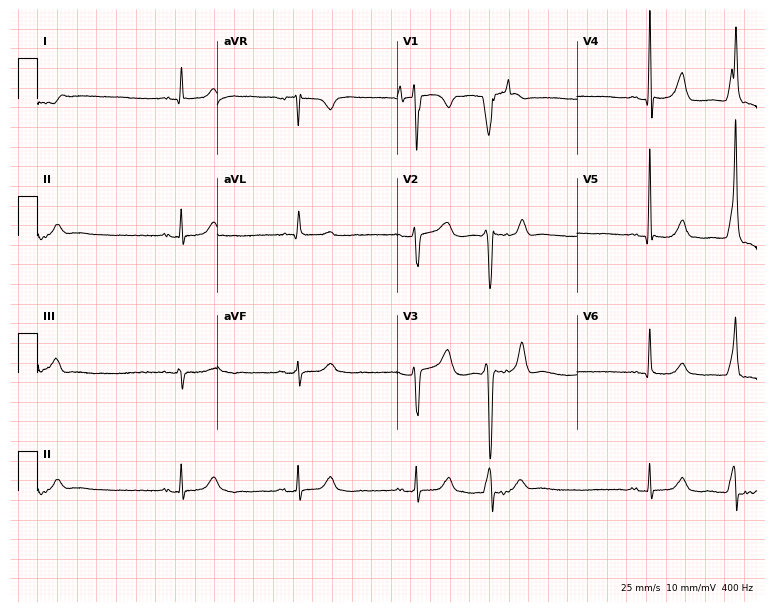
12-lead ECG (7.3-second recording at 400 Hz) from an 81-year-old man. Screened for six findings — first-degree AV block, right bundle branch block, left bundle branch block, sinus bradycardia, atrial fibrillation, sinus tachycardia — none is recorded. Other findings, if any, are not listed.